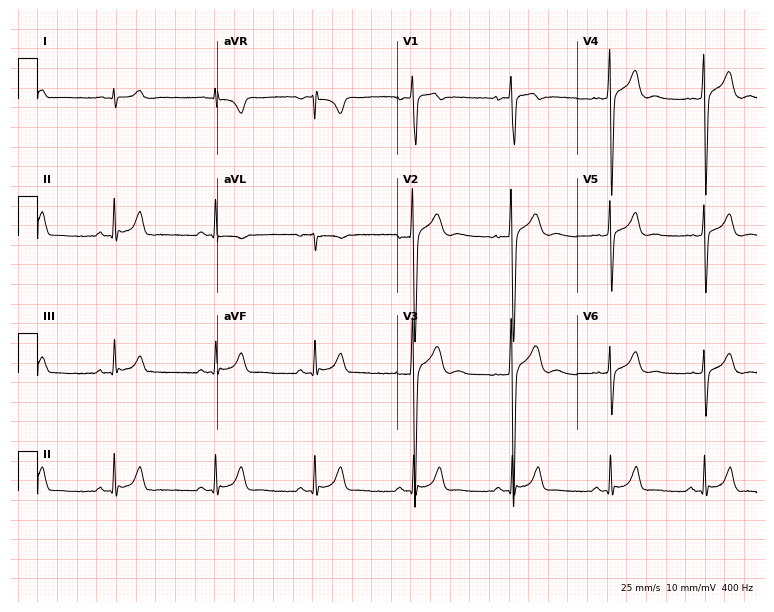
Standard 12-lead ECG recorded from a man, 17 years old. None of these six findings is recorded: first-degree AV block, right bundle branch block, left bundle branch block, sinus bradycardia, atrial fibrillation, sinus tachycardia.